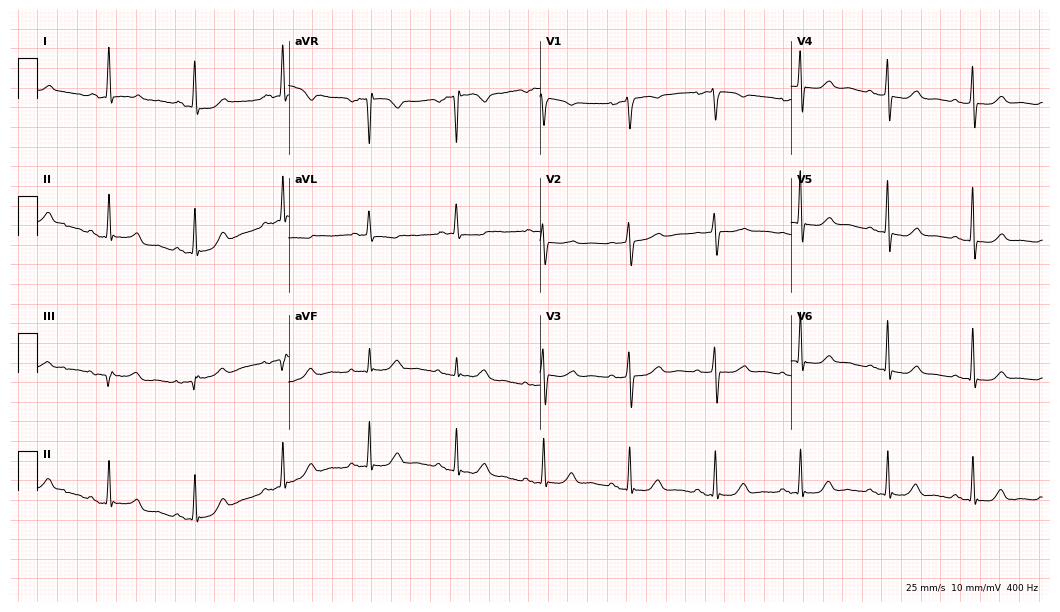
12-lead ECG from a 76-year-old female (10.2-second recording at 400 Hz). Recorded interpretation: within normal limits.